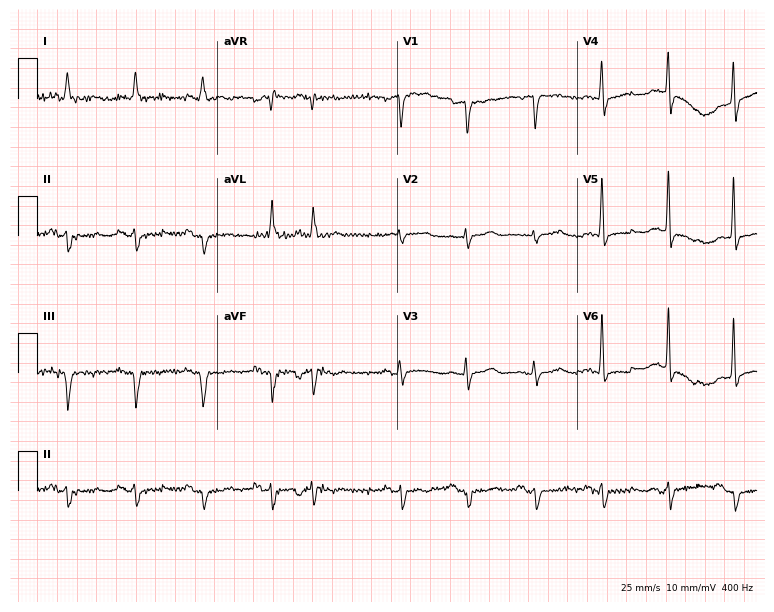
Standard 12-lead ECG recorded from a 78-year-old female patient. None of these six findings is recorded: first-degree AV block, right bundle branch block (RBBB), left bundle branch block (LBBB), sinus bradycardia, atrial fibrillation (AF), sinus tachycardia.